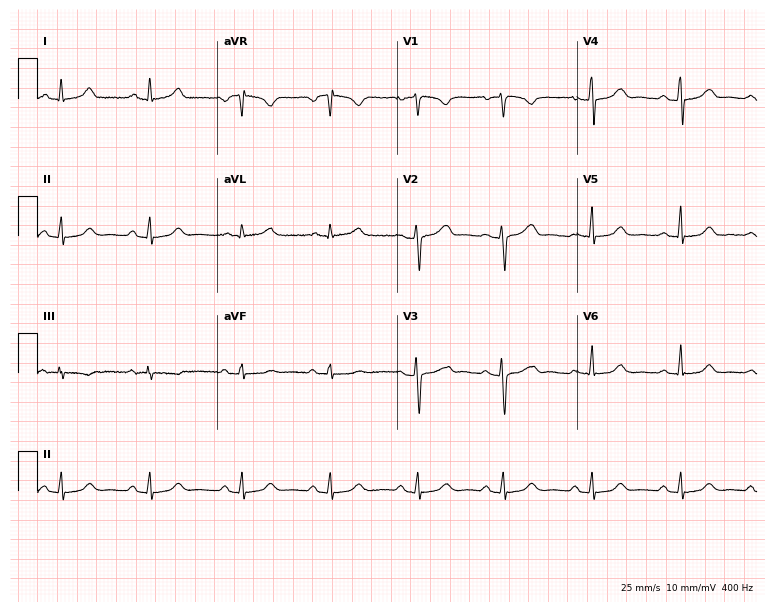
ECG — a 21-year-old female patient. Labelled as a normal ECG.